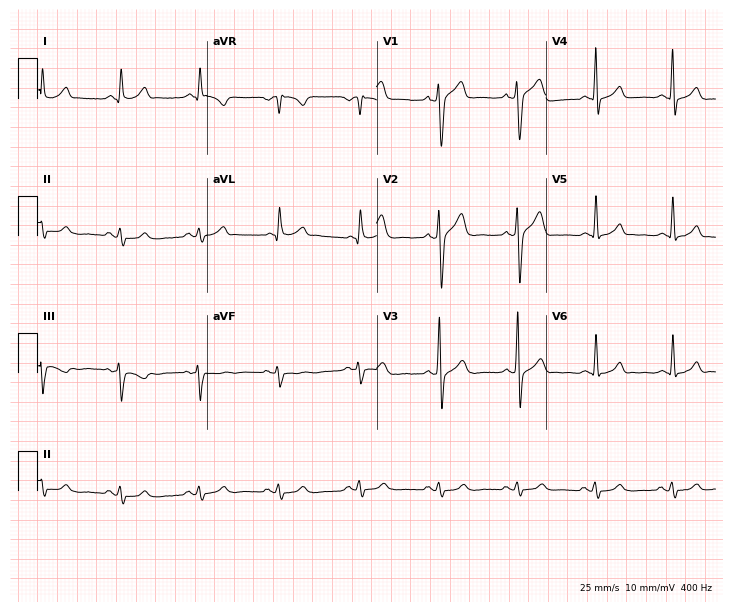
12-lead ECG (6.9-second recording at 400 Hz) from a 46-year-old man. Screened for six findings — first-degree AV block, right bundle branch block, left bundle branch block, sinus bradycardia, atrial fibrillation, sinus tachycardia — none is recorded.